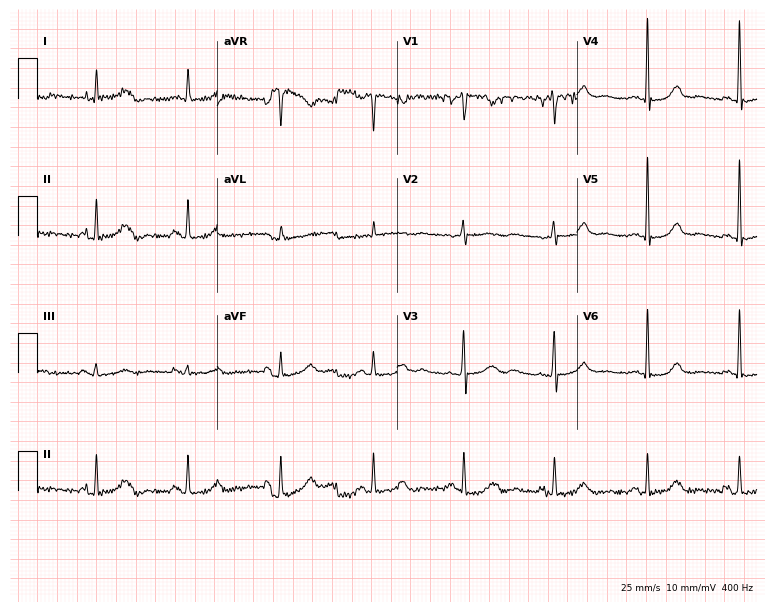
Resting 12-lead electrocardiogram. Patient: an 82-year-old female. None of these six findings is recorded: first-degree AV block, right bundle branch block, left bundle branch block, sinus bradycardia, atrial fibrillation, sinus tachycardia. Findings outside these six are not listed.